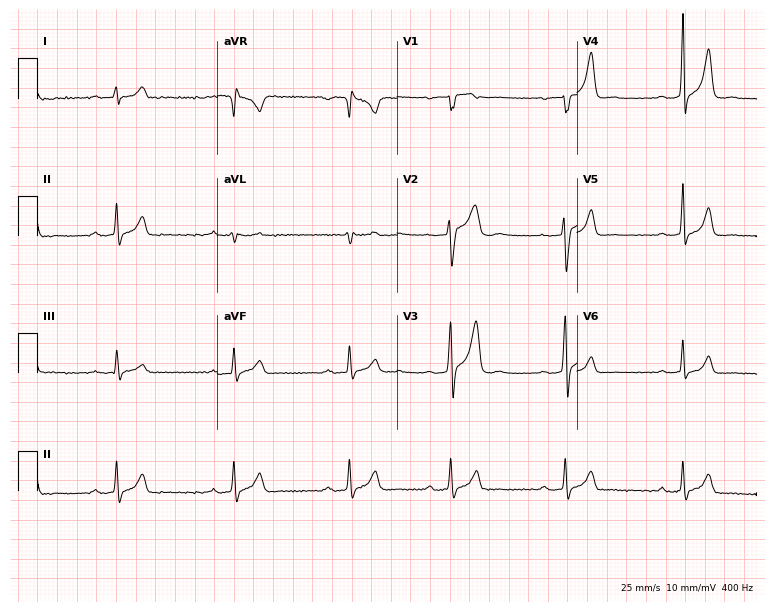
12-lead ECG from an 18-year-old male patient. Screened for six findings — first-degree AV block, right bundle branch block, left bundle branch block, sinus bradycardia, atrial fibrillation, sinus tachycardia — none is recorded.